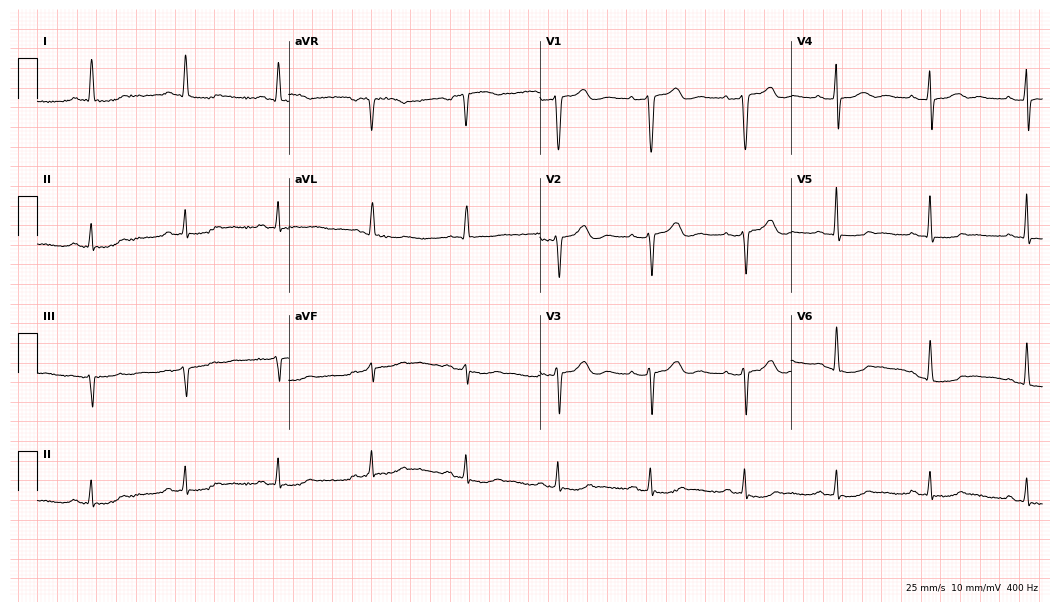
Resting 12-lead electrocardiogram. Patient: a 69-year-old woman. None of these six findings is recorded: first-degree AV block, right bundle branch block, left bundle branch block, sinus bradycardia, atrial fibrillation, sinus tachycardia.